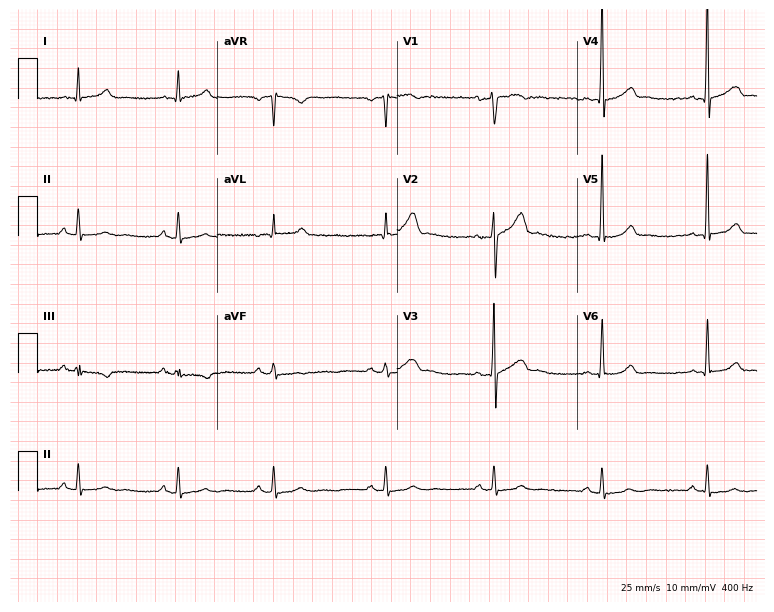
Electrocardiogram, a male, 55 years old. Of the six screened findings (first-degree AV block, right bundle branch block (RBBB), left bundle branch block (LBBB), sinus bradycardia, atrial fibrillation (AF), sinus tachycardia), none is recorded.